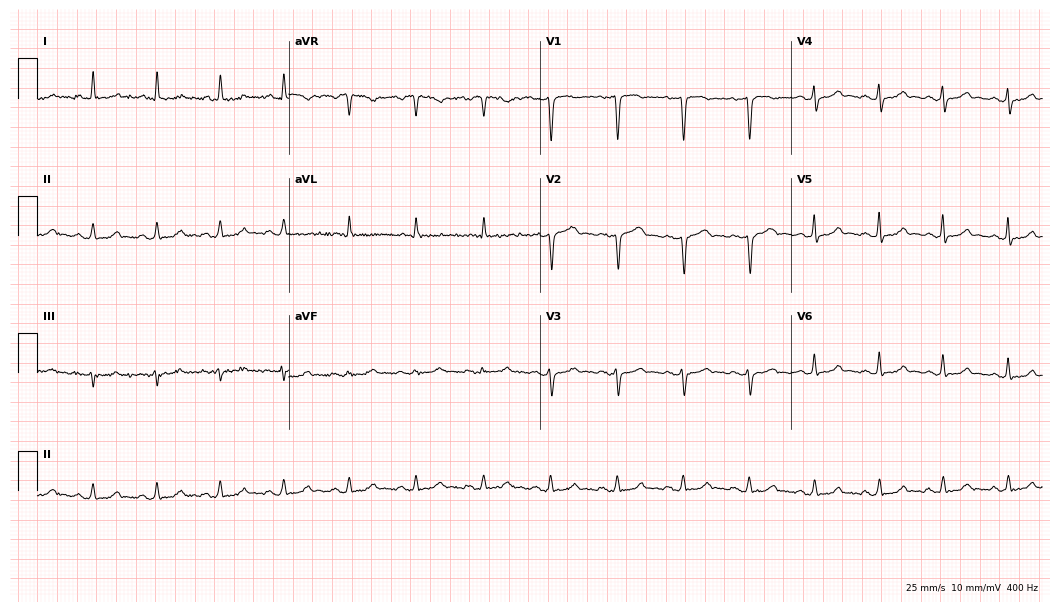
Standard 12-lead ECG recorded from a female patient, 59 years old. None of these six findings is recorded: first-degree AV block, right bundle branch block, left bundle branch block, sinus bradycardia, atrial fibrillation, sinus tachycardia. Findings outside these six are not listed.